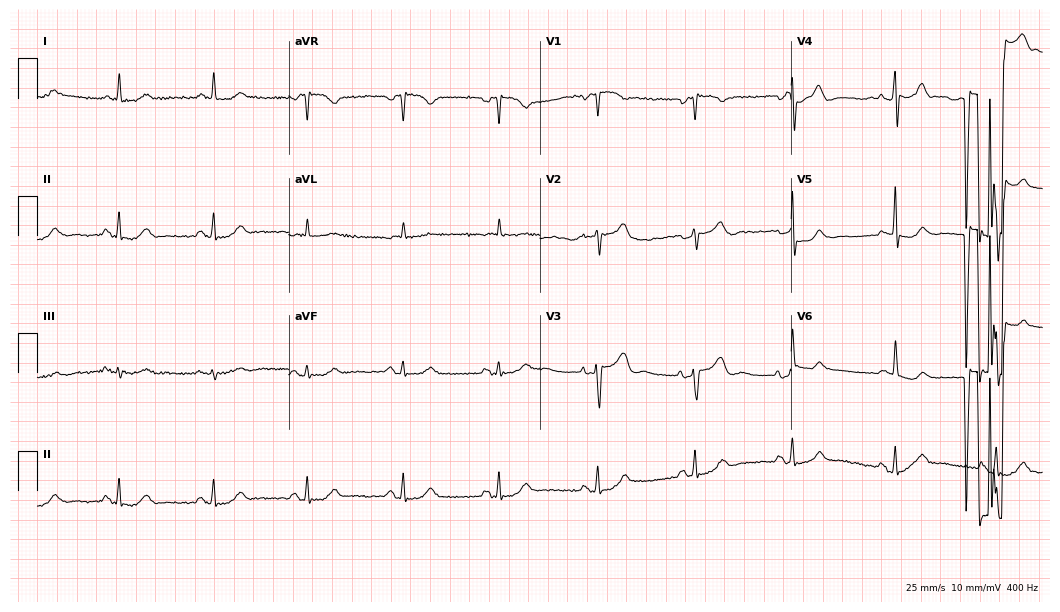
Electrocardiogram (10.2-second recording at 400 Hz), a man, 83 years old. Of the six screened findings (first-degree AV block, right bundle branch block, left bundle branch block, sinus bradycardia, atrial fibrillation, sinus tachycardia), none is recorded.